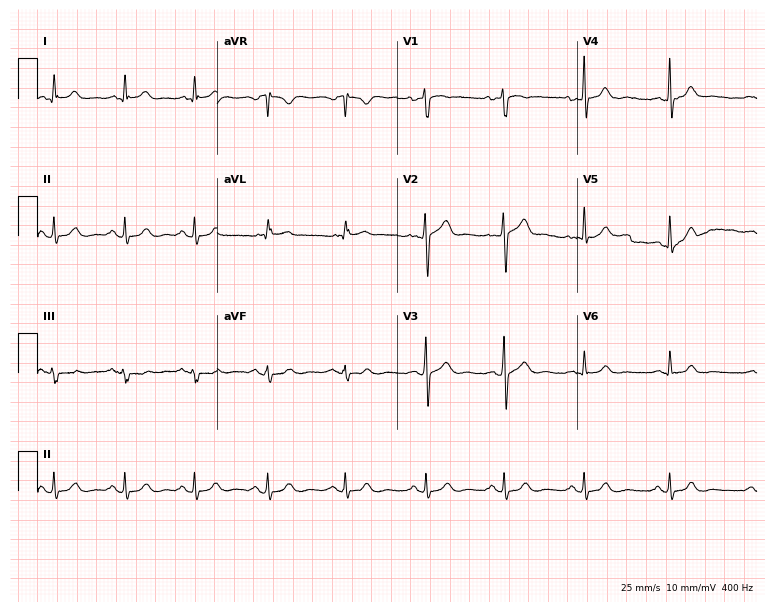
Resting 12-lead electrocardiogram (7.3-second recording at 400 Hz). Patient: a 31-year-old male. Read as a normal ECG.